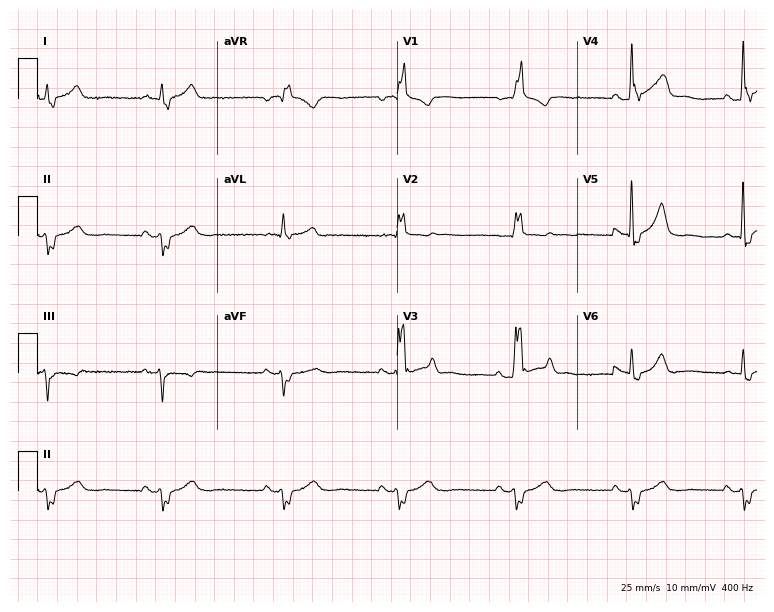
12-lead ECG (7.3-second recording at 400 Hz) from a 70-year-old man. Findings include right bundle branch block.